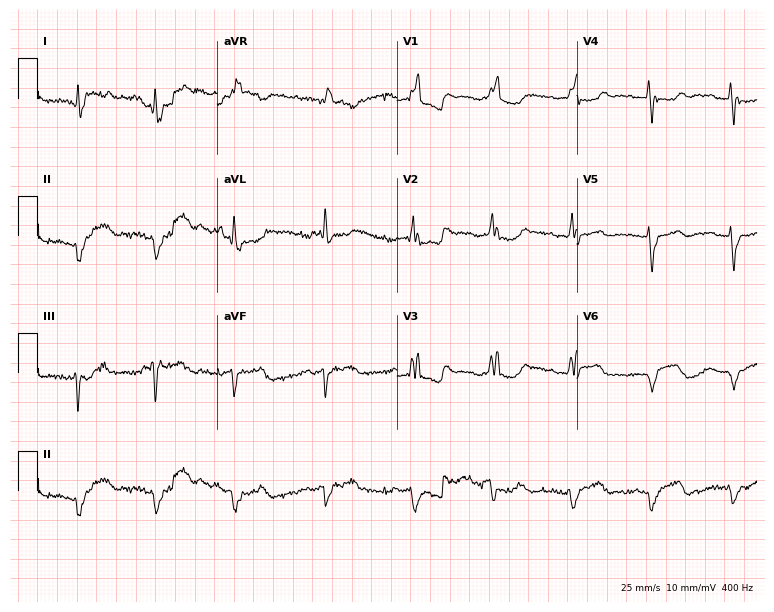
Electrocardiogram (7.3-second recording at 400 Hz), a 75-year-old woman. Interpretation includes right bundle branch block, left bundle branch block, atrial fibrillation.